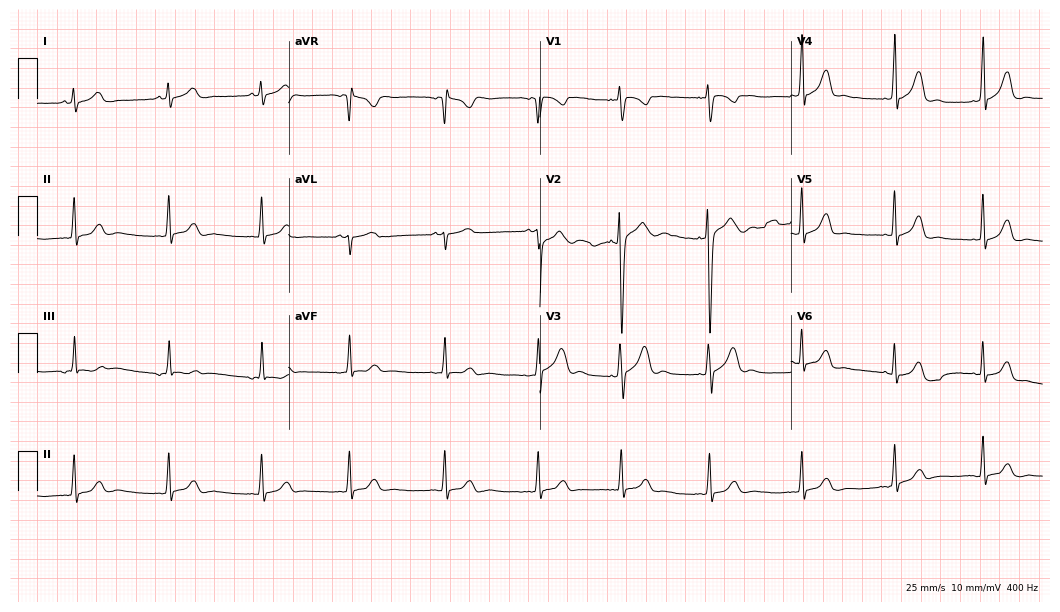
Resting 12-lead electrocardiogram (10.2-second recording at 400 Hz). Patient: a 20-year-old female. None of these six findings is recorded: first-degree AV block, right bundle branch block, left bundle branch block, sinus bradycardia, atrial fibrillation, sinus tachycardia. Only these six findings were labelled.